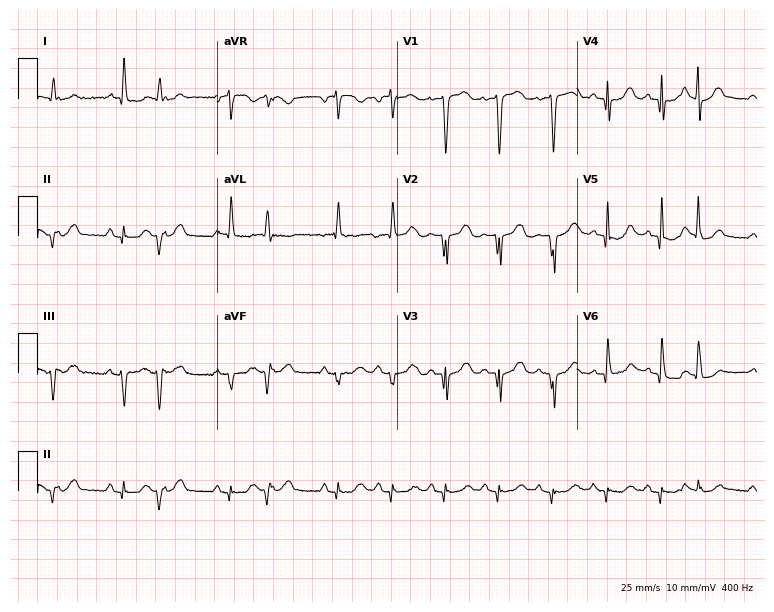
Standard 12-lead ECG recorded from a woman, 79 years old (7.3-second recording at 400 Hz). The tracing shows sinus tachycardia (a sinus rate of 100 beats per minute or more).